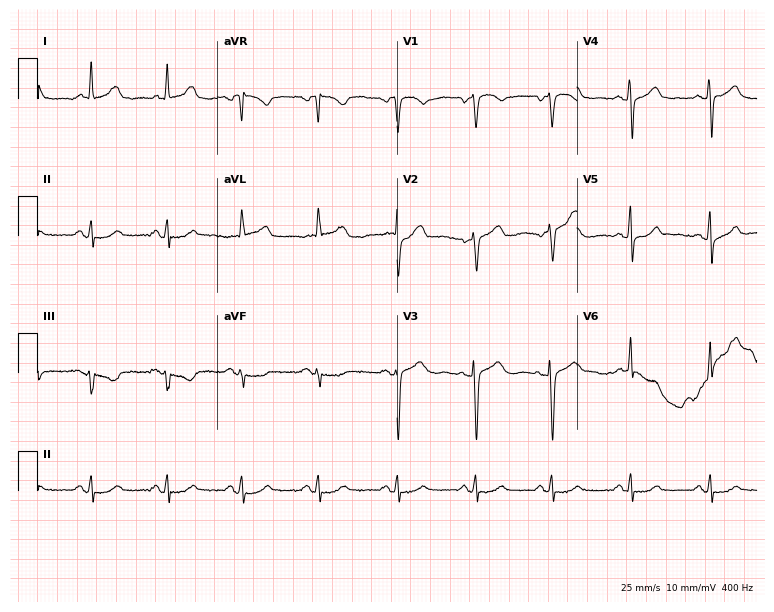
Electrocardiogram, a female, 54 years old. Overall reading on record: normal ECG.